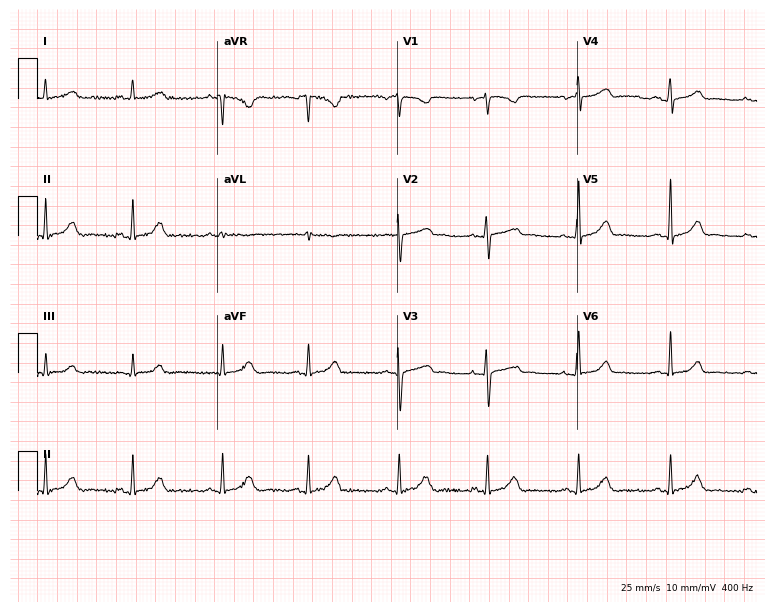
Standard 12-lead ECG recorded from a female, 39 years old (7.3-second recording at 400 Hz). Read as a normal ECG.